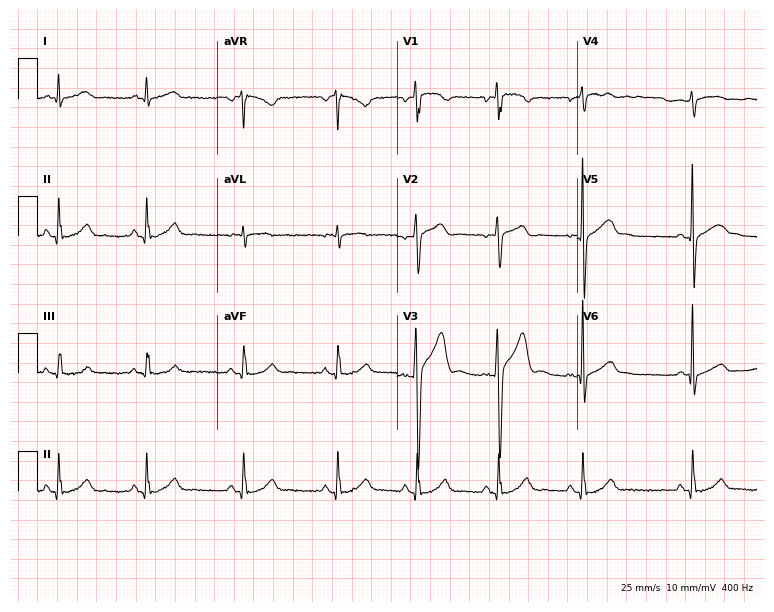
12-lead ECG from a 31-year-old man. Labelled as a normal ECG.